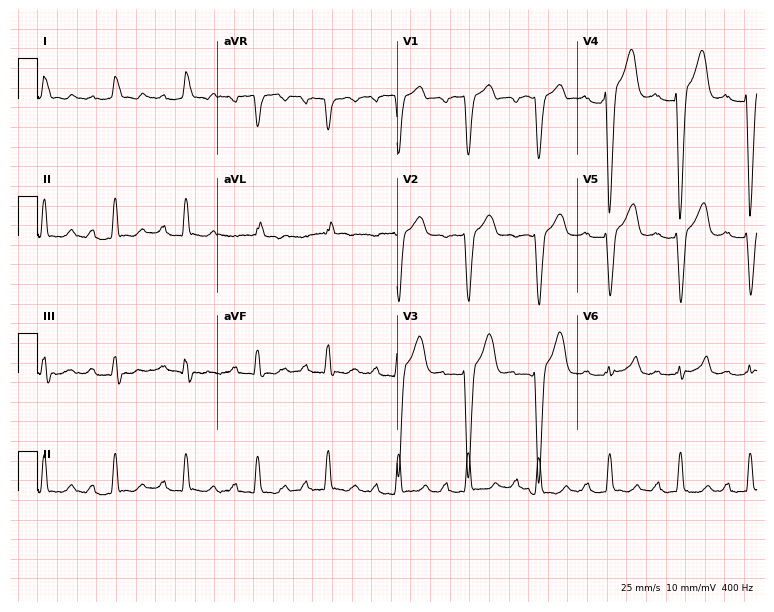
ECG (7.3-second recording at 400 Hz) — a 76-year-old man. Findings include first-degree AV block, left bundle branch block (LBBB).